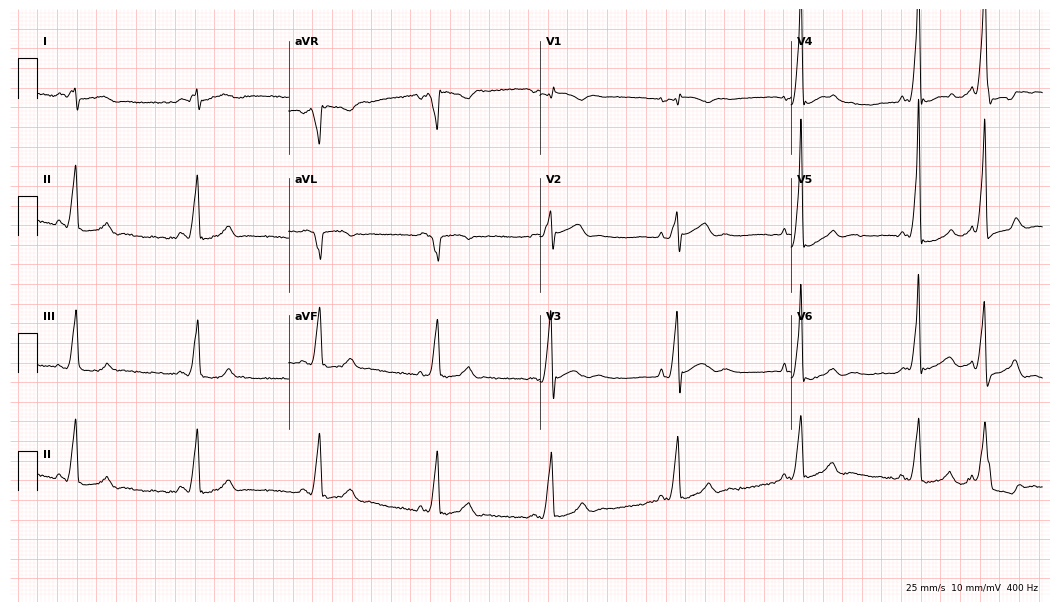
Resting 12-lead electrocardiogram. Patient: a man, 61 years old. None of these six findings is recorded: first-degree AV block, right bundle branch block, left bundle branch block, sinus bradycardia, atrial fibrillation, sinus tachycardia.